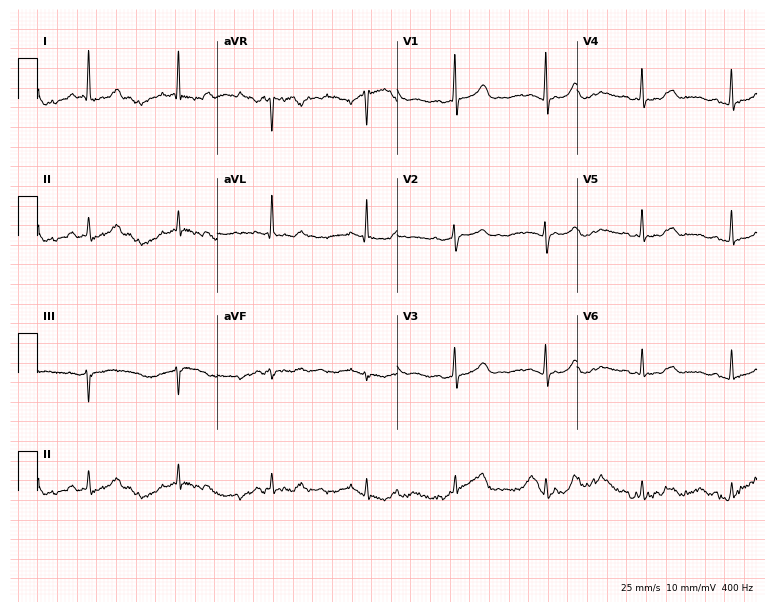
ECG — a female, 52 years old. Labelled as a normal ECG.